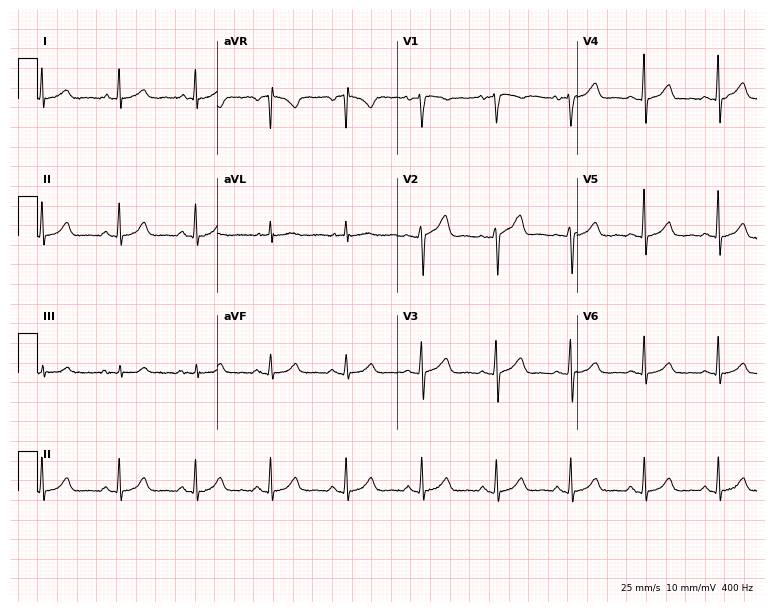
Electrocardiogram, a 47-year-old female patient. Overall reading on record: normal ECG.